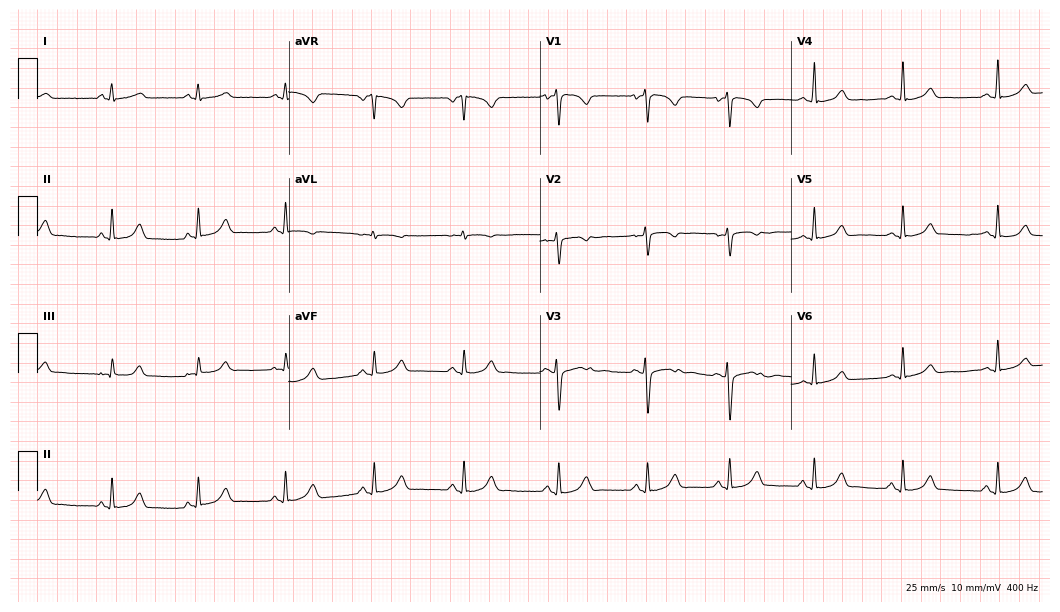
ECG (10.2-second recording at 400 Hz) — a female, 27 years old. Labelled as a normal ECG.